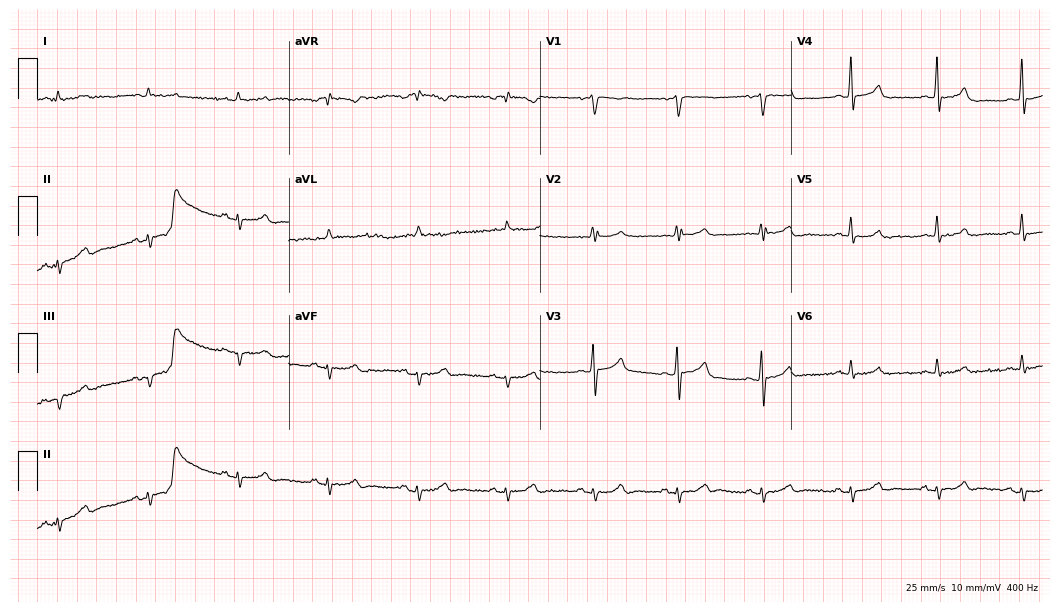
12-lead ECG from a male patient, 72 years old (10.2-second recording at 400 Hz). No first-degree AV block, right bundle branch block, left bundle branch block, sinus bradycardia, atrial fibrillation or sinus tachycardia recorded for this tracing.